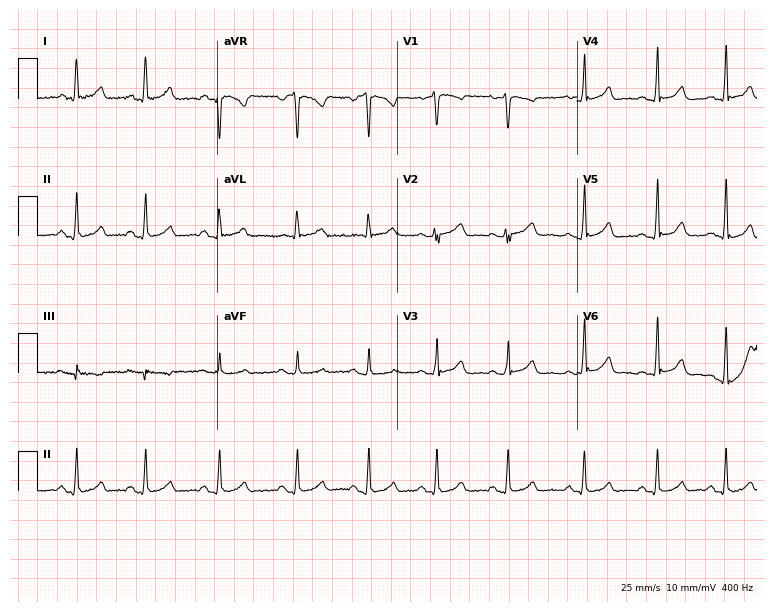
Resting 12-lead electrocardiogram (7.3-second recording at 400 Hz). Patient: a 39-year-old female. None of these six findings is recorded: first-degree AV block, right bundle branch block, left bundle branch block, sinus bradycardia, atrial fibrillation, sinus tachycardia.